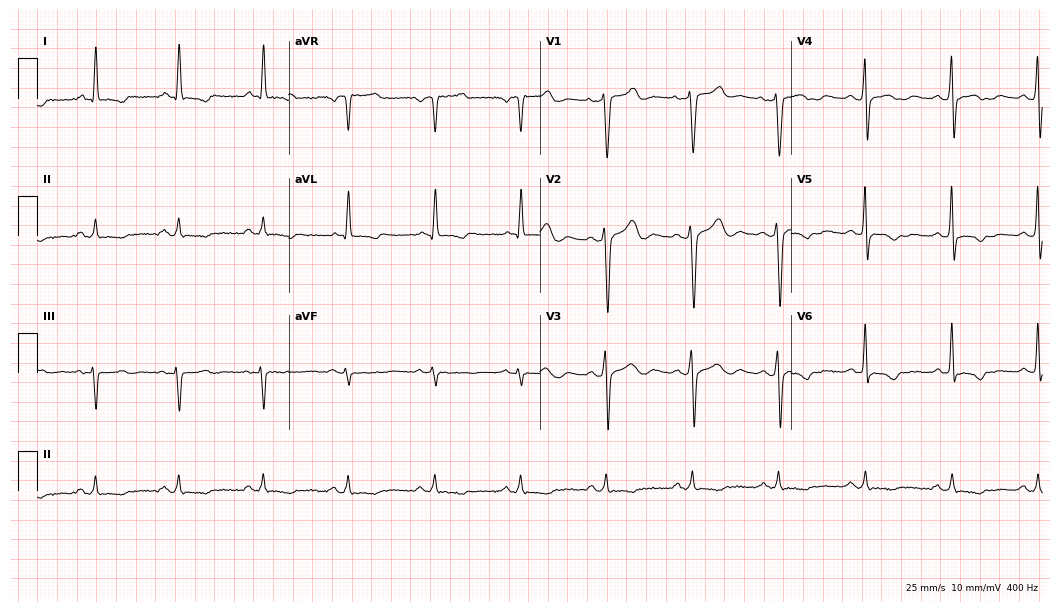
Electrocardiogram, a 53-year-old man. Of the six screened findings (first-degree AV block, right bundle branch block (RBBB), left bundle branch block (LBBB), sinus bradycardia, atrial fibrillation (AF), sinus tachycardia), none is recorded. Other findings, if any, are not listed.